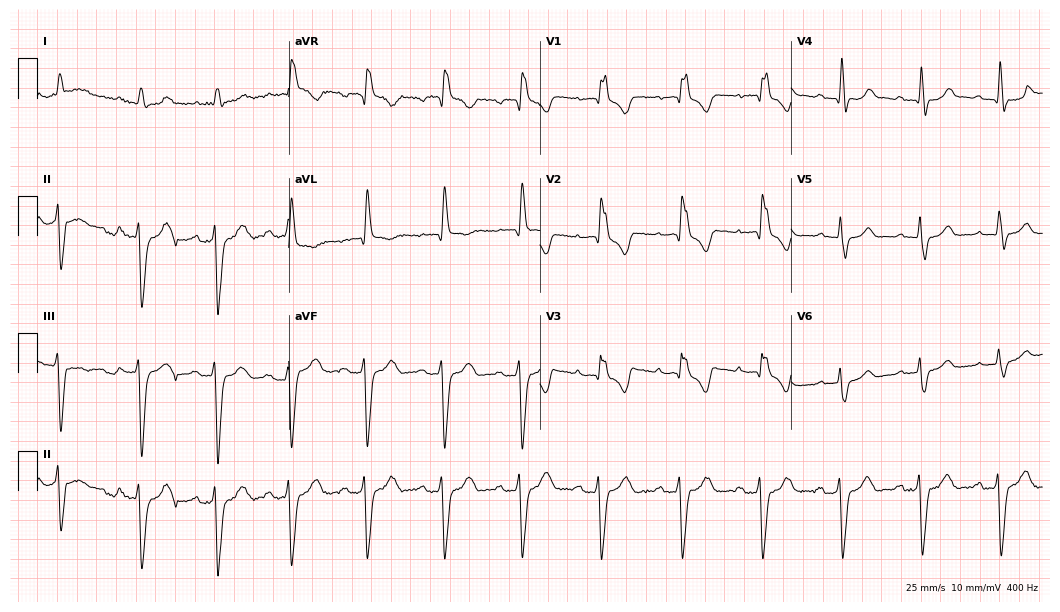
Standard 12-lead ECG recorded from a man, 82 years old (10.2-second recording at 400 Hz). None of these six findings is recorded: first-degree AV block, right bundle branch block, left bundle branch block, sinus bradycardia, atrial fibrillation, sinus tachycardia. Other findings, if any, are not listed.